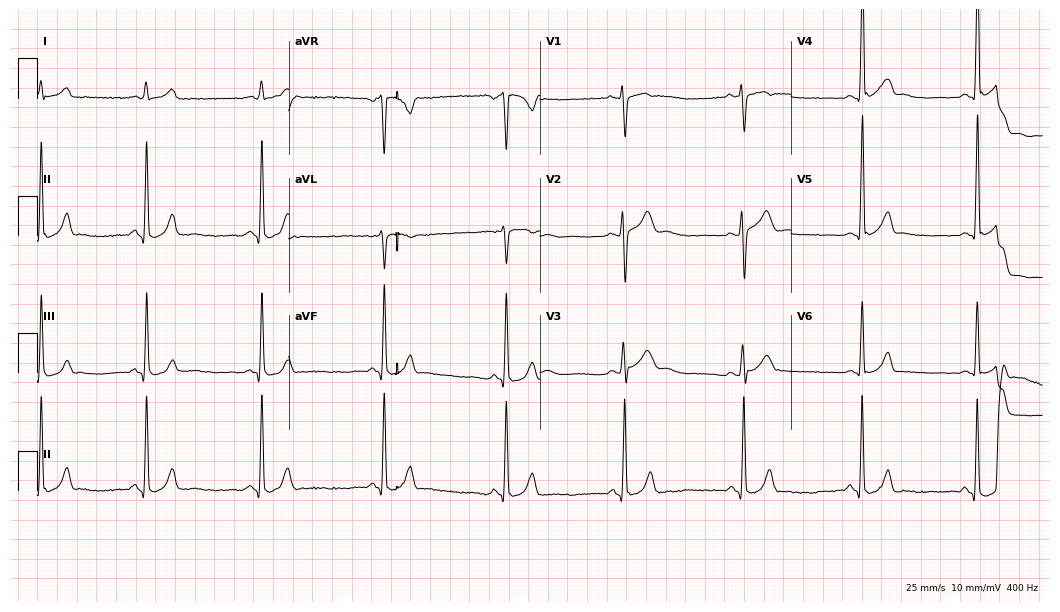
Resting 12-lead electrocardiogram. Patient: a male, 23 years old. None of these six findings is recorded: first-degree AV block, right bundle branch block, left bundle branch block, sinus bradycardia, atrial fibrillation, sinus tachycardia. Findings outside these six are not listed.